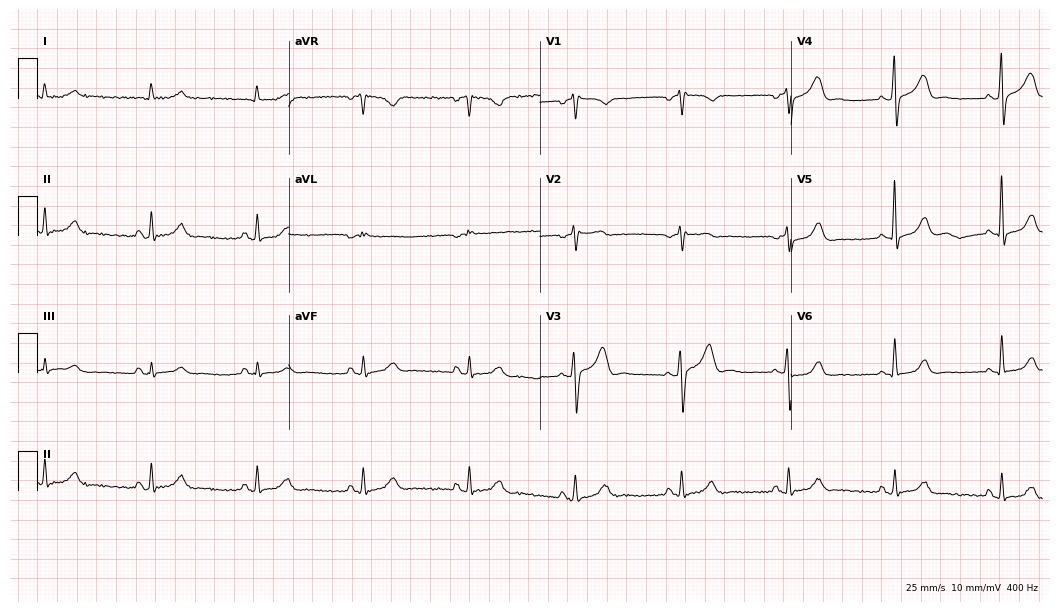
ECG (10.2-second recording at 400 Hz) — a 56-year-old male patient. Labelled as a normal ECG.